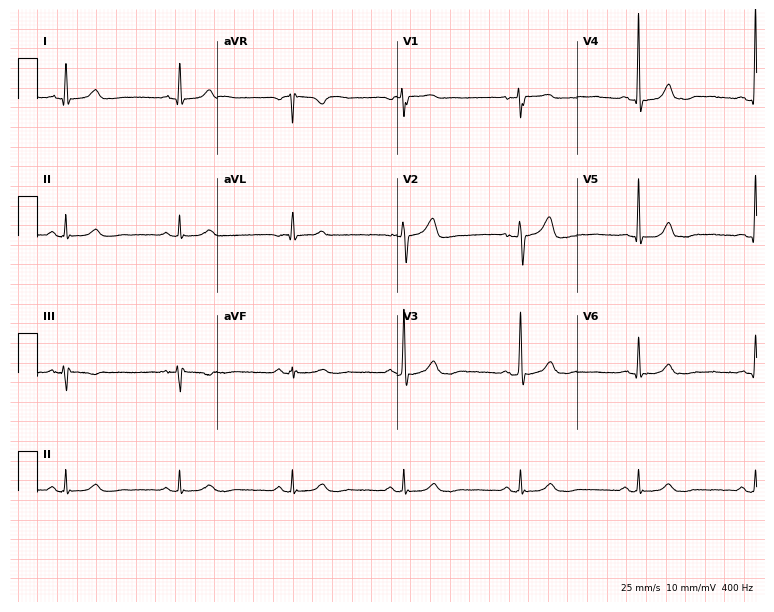
ECG (7.3-second recording at 400 Hz) — a male patient, 46 years old. Labelled as a normal ECG.